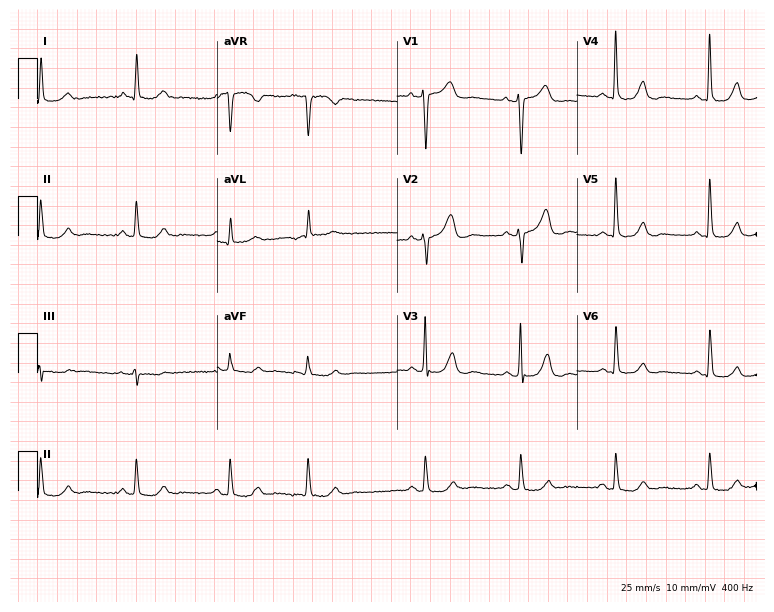
12-lead ECG from a female patient, 84 years old. No first-degree AV block, right bundle branch block, left bundle branch block, sinus bradycardia, atrial fibrillation or sinus tachycardia recorded for this tracing. Only these six findings were labelled.